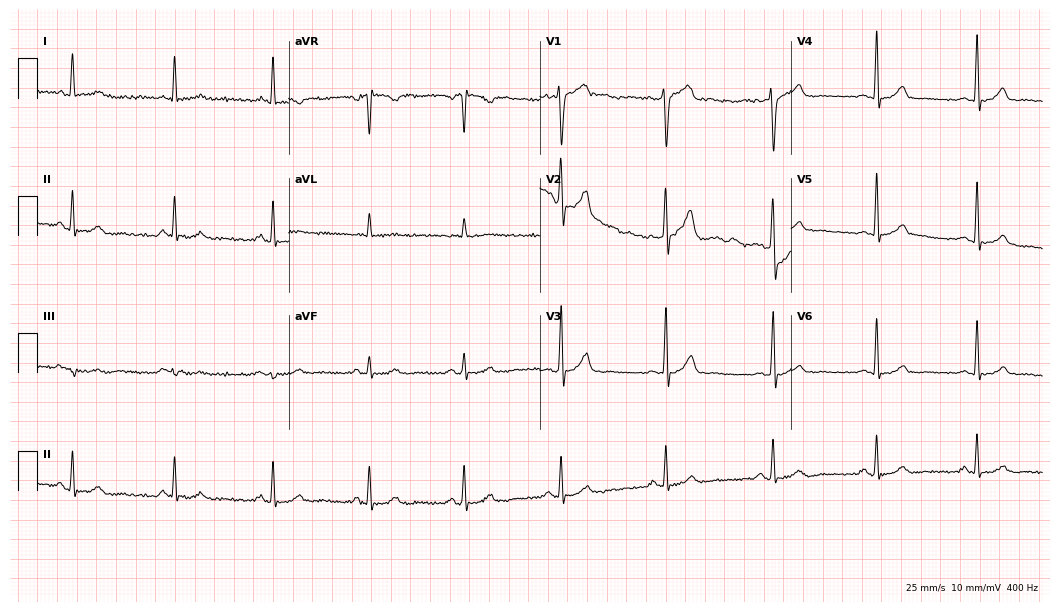
12-lead ECG (10.2-second recording at 400 Hz) from a 55-year-old male. Labelled as a normal ECG.